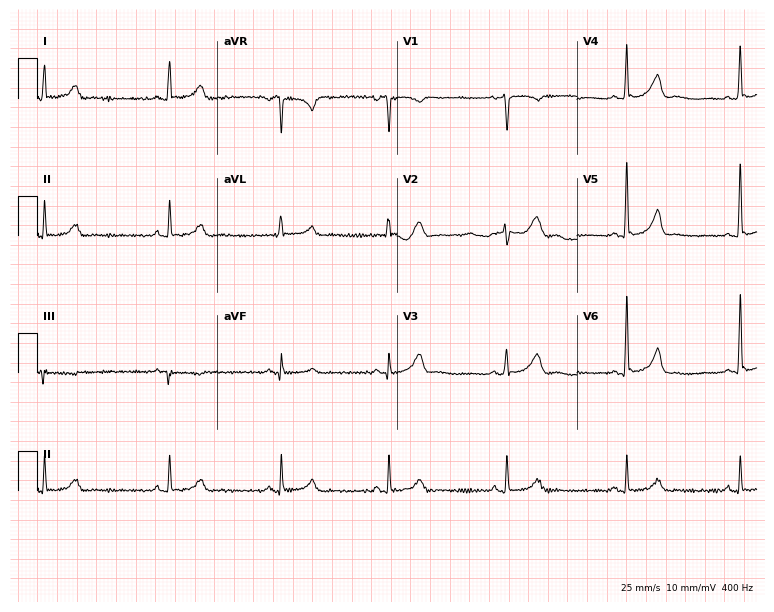
12-lead ECG from a female, 33 years old. Labelled as a normal ECG.